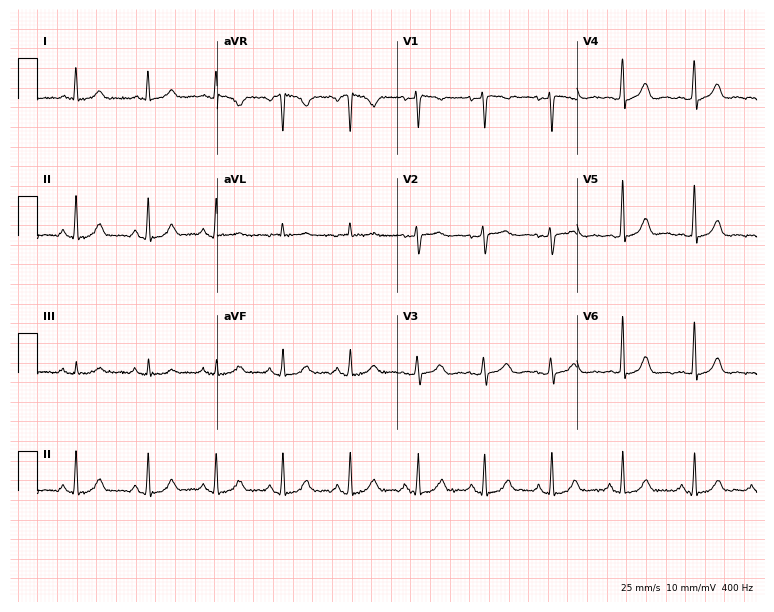
ECG — a 45-year-old female patient. Screened for six findings — first-degree AV block, right bundle branch block, left bundle branch block, sinus bradycardia, atrial fibrillation, sinus tachycardia — none is recorded.